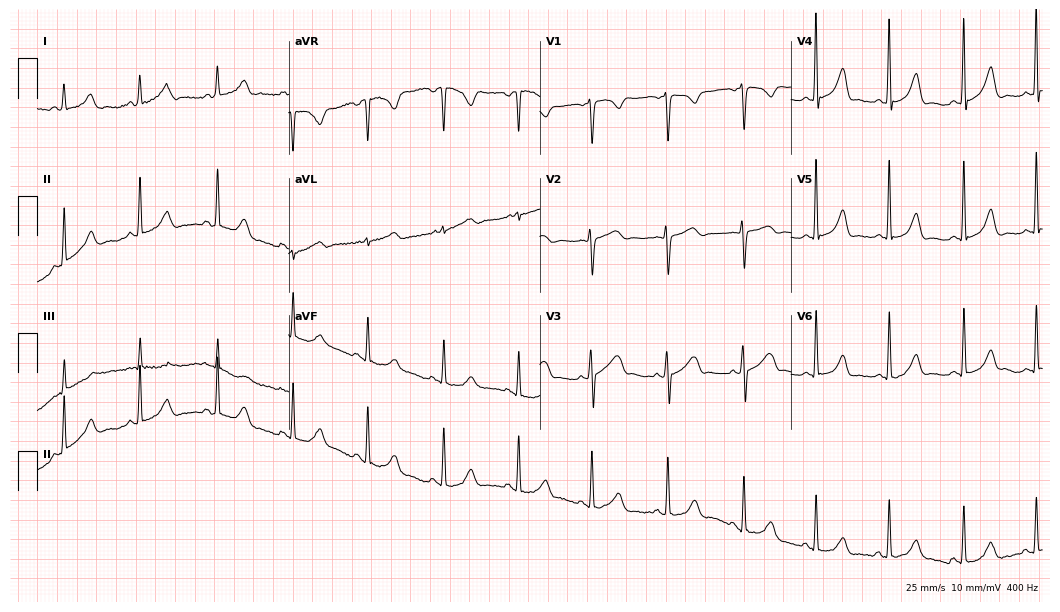
ECG (10.2-second recording at 400 Hz) — a 29-year-old woman. Labelled as a normal ECG.